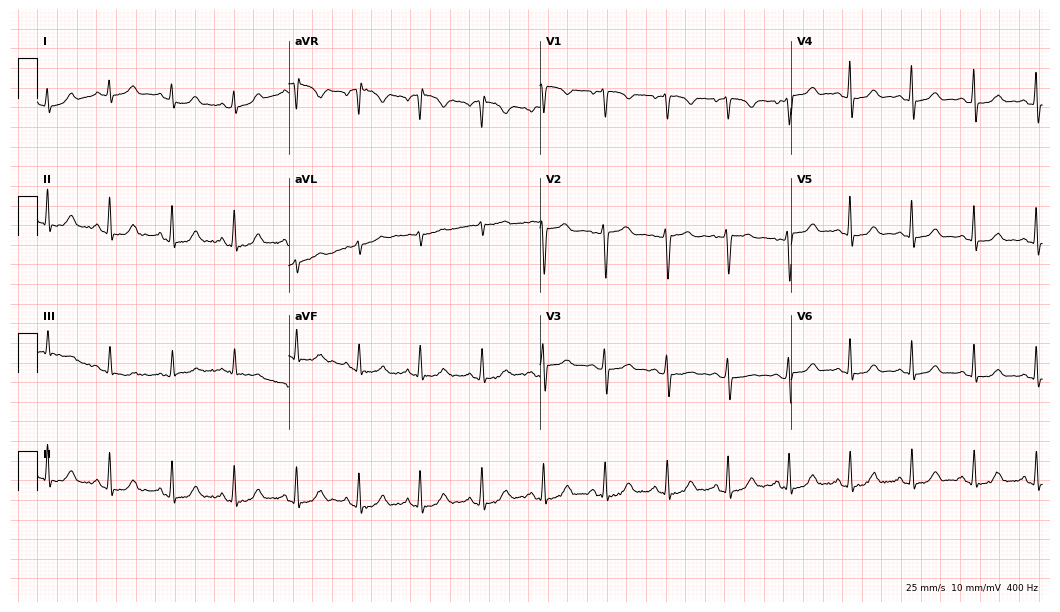
Standard 12-lead ECG recorded from a 43-year-old female (10.2-second recording at 400 Hz). Read as a normal ECG.